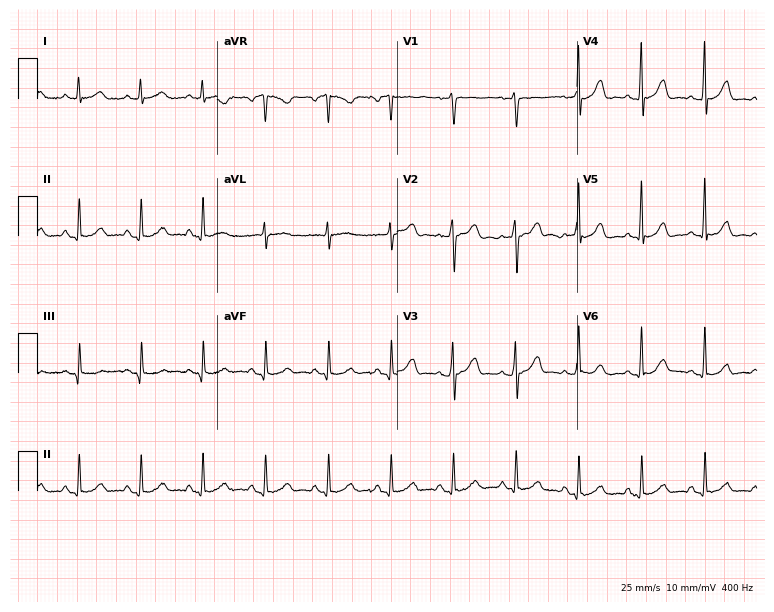
Standard 12-lead ECG recorded from a female, 46 years old (7.3-second recording at 400 Hz). None of these six findings is recorded: first-degree AV block, right bundle branch block, left bundle branch block, sinus bradycardia, atrial fibrillation, sinus tachycardia. Only these six findings were labelled.